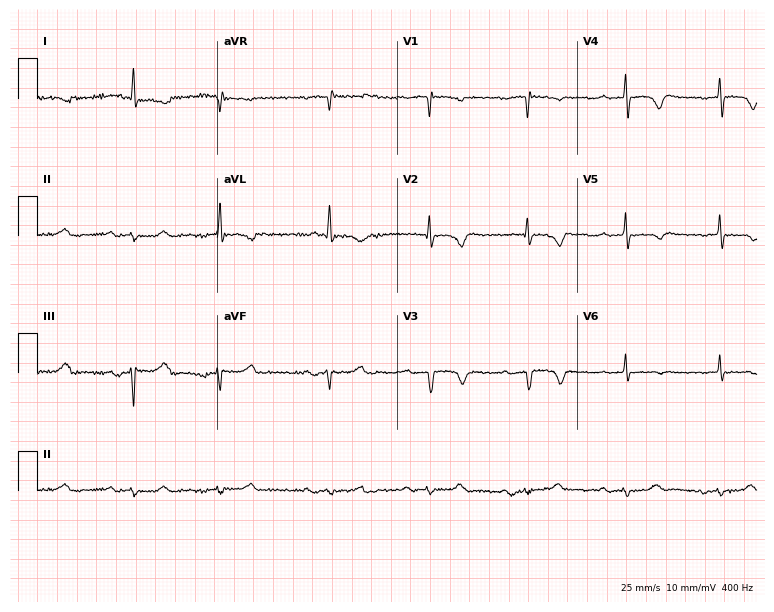
Electrocardiogram, a female, 82 years old. Of the six screened findings (first-degree AV block, right bundle branch block, left bundle branch block, sinus bradycardia, atrial fibrillation, sinus tachycardia), none is recorded.